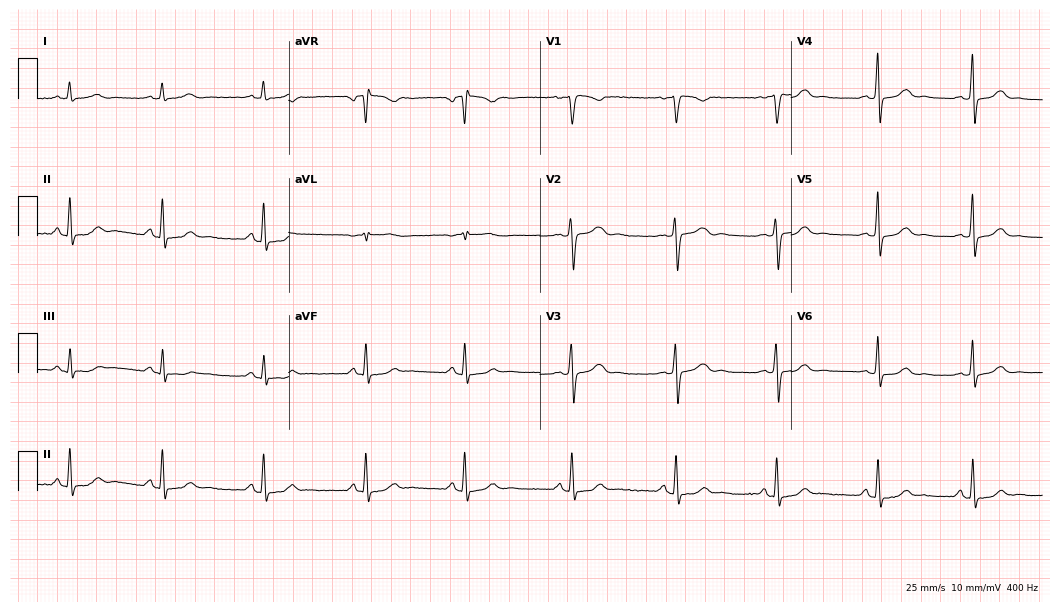
Standard 12-lead ECG recorded from a 33-year-old woman. Read as a normal ECG.